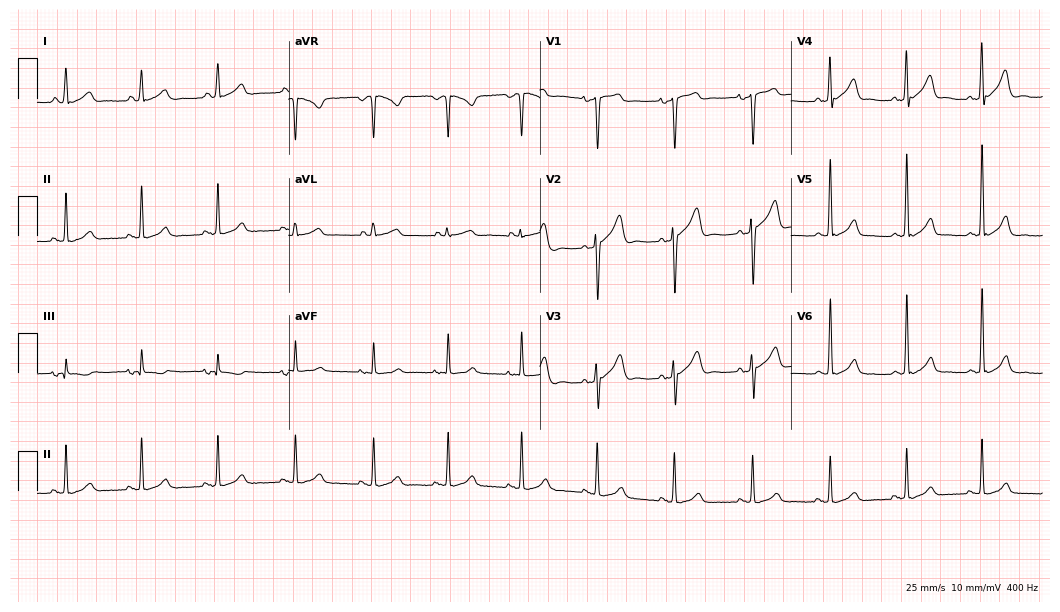
Resting 12-lead electrocardiogram (10.2-second recording at 400 Hz). Patient: a female, 42 years old. None of these six findings is recorded: first-degree AV block, right bundle branch block, left bundle branch block, sinus bradycardia, atrial fibrillation, sinus tachycardia. Findings outside these six are not listed.